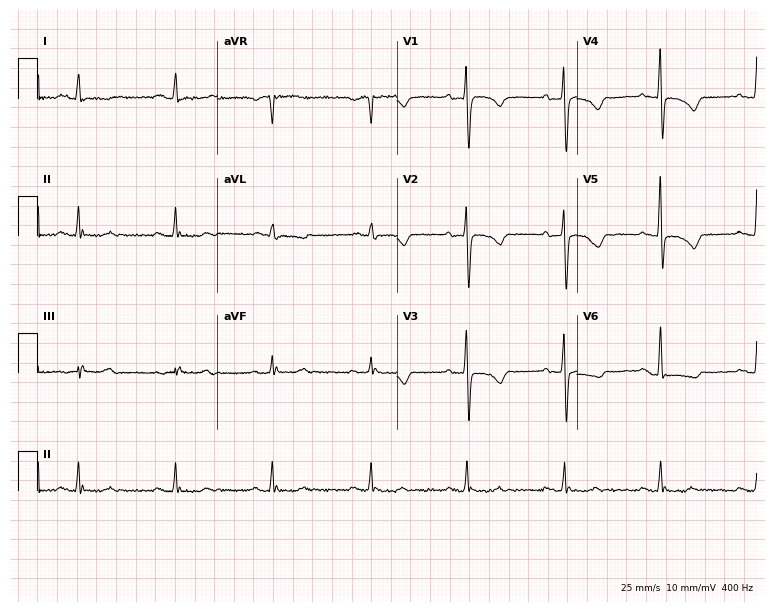
ECG — a 66-year-old female. Screened for six findings — first-degree AV block, right bundle branch block (RBBB), left bundle branch block (LBBB), sinus bradycardia, atrial fibrillation (AF), sinus tachycardia — none is recorded.